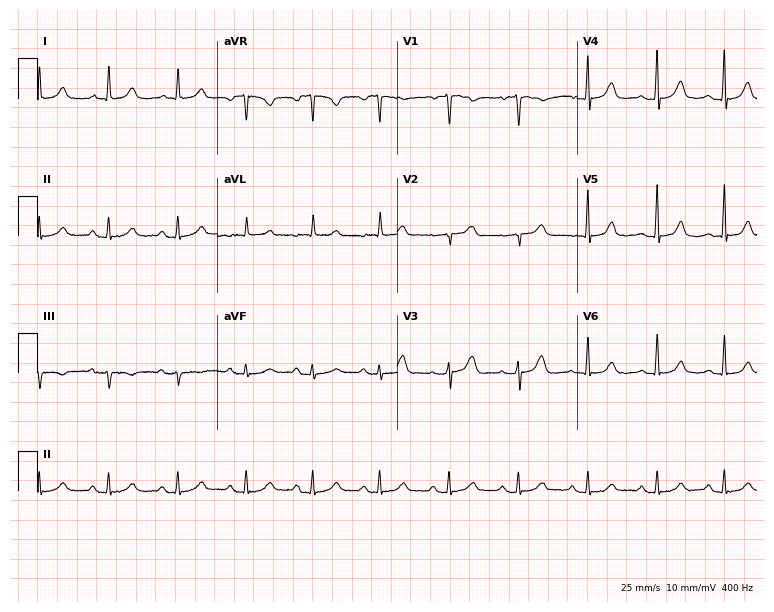
12-lead ECG from a 75-year-old female. Labelled as a normal ECG.